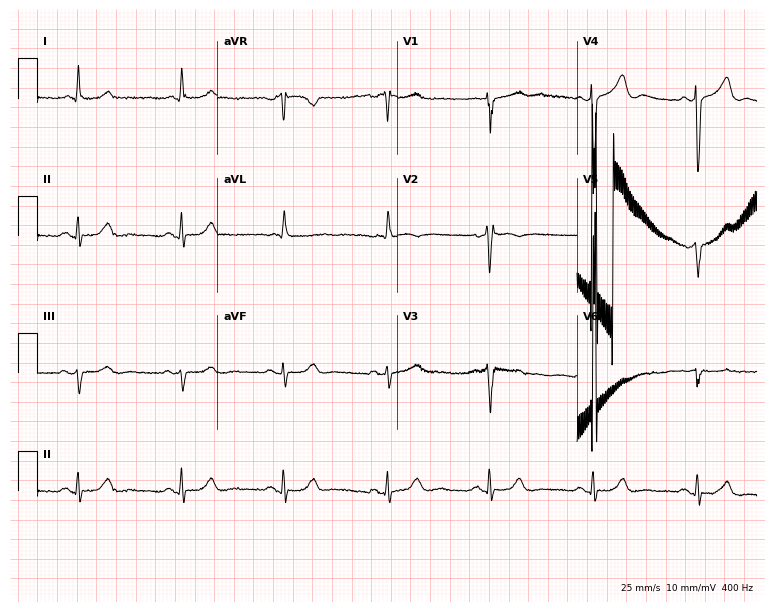
Resting 12-lead electrocardiogram. Patient: a man, 83 years old. None of these six findings is recorded: first-degree AV block, right bundle branch block, left bundle branch block, sinus bradycardia, atrial fibrillation, sinus tachycardia. Other findings, if any, are not listed.